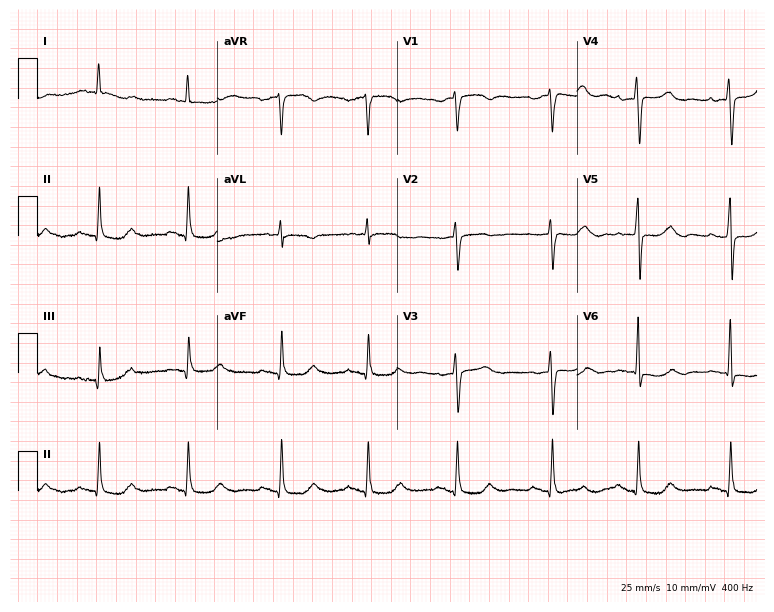
ECG (7.3-second recording at 400 Hz) — a female, 78 years old. Screened for six findings — first-degree AV block, right bundle branch block, left bundle branch block, sinus bradycardia, atrial fibrillation, sinus tachycardia — none is recorded.